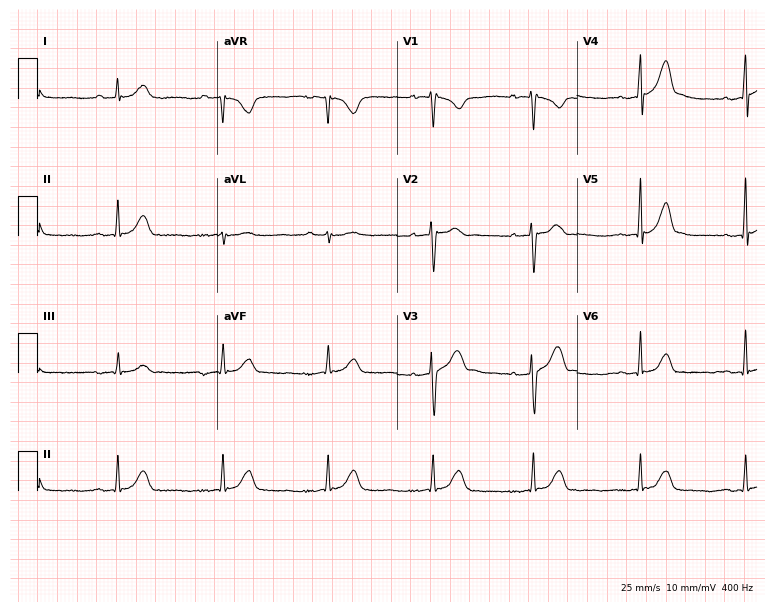
12-lead ECG (7.3-second recording at 400 Hz) from a male, 26 years old. Labelled as a normal ECG.